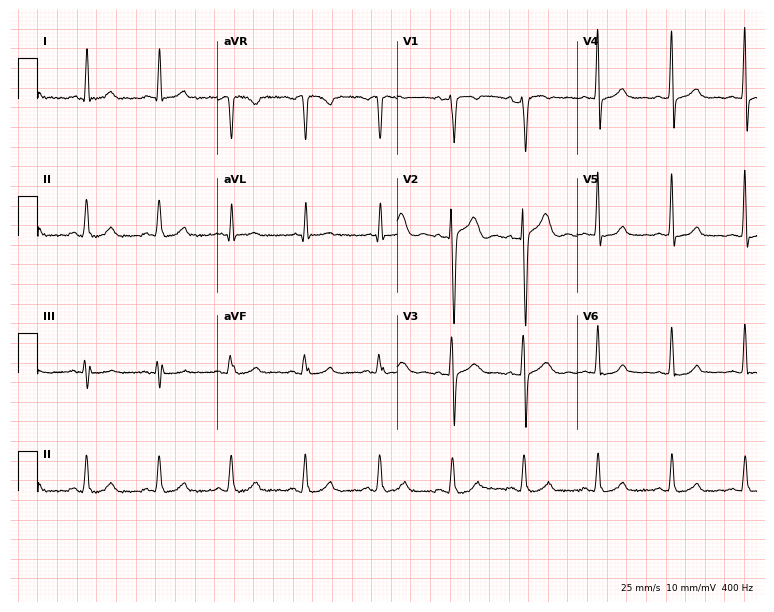
Standard 12-lead ECG recorded from a female, 35 years old (7.3-second recording at 400 Hz). None of these six findings is recorded: first-degree AV block, right bundle branch block, left bundle branch block, sinus bradycardia, atrial fibrillation, sinus tachycardia. Findings outside these six are not listed.